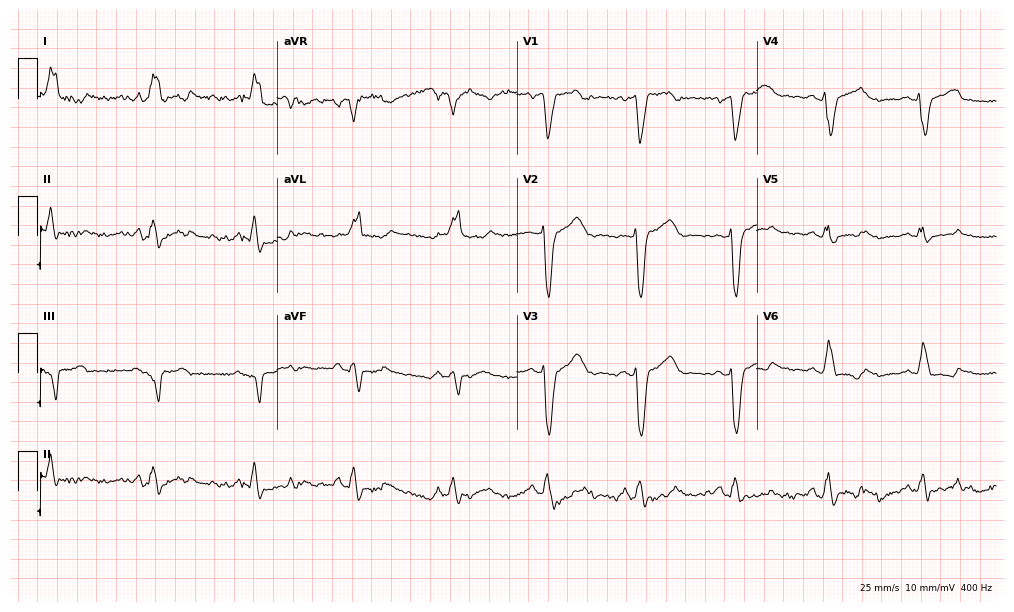
ECG (9.8-second recording at 400 Hz) — a female, 41 years old. Findings include left bundle branch block (LBBB).